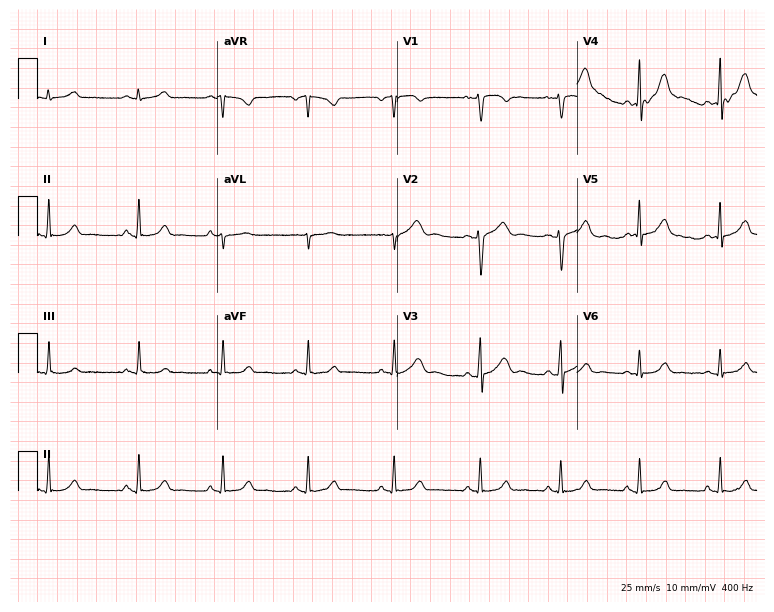
12-lead ECG from a 40-year-old female. Labelled as a normal ECG.